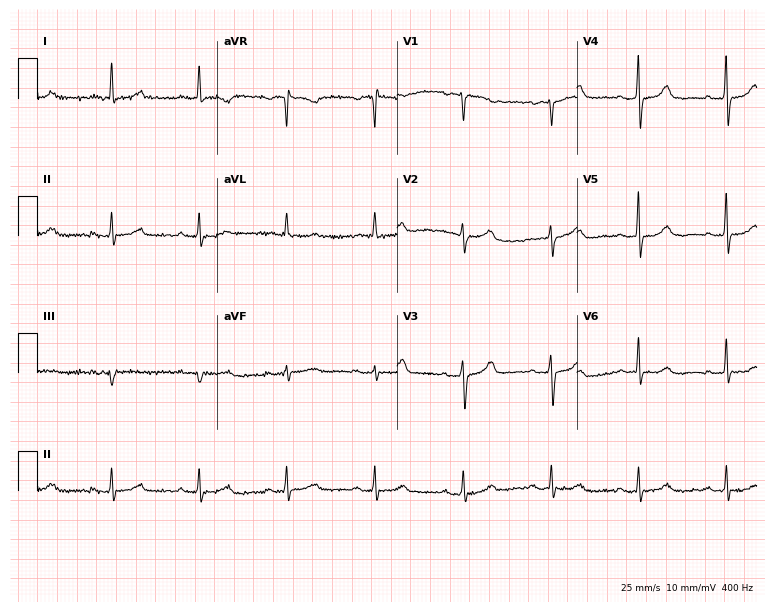
12-lead ECG from a female, 66 years old (7.3-second recording at 400 Hz). Recorded interpretation: within normal limits.